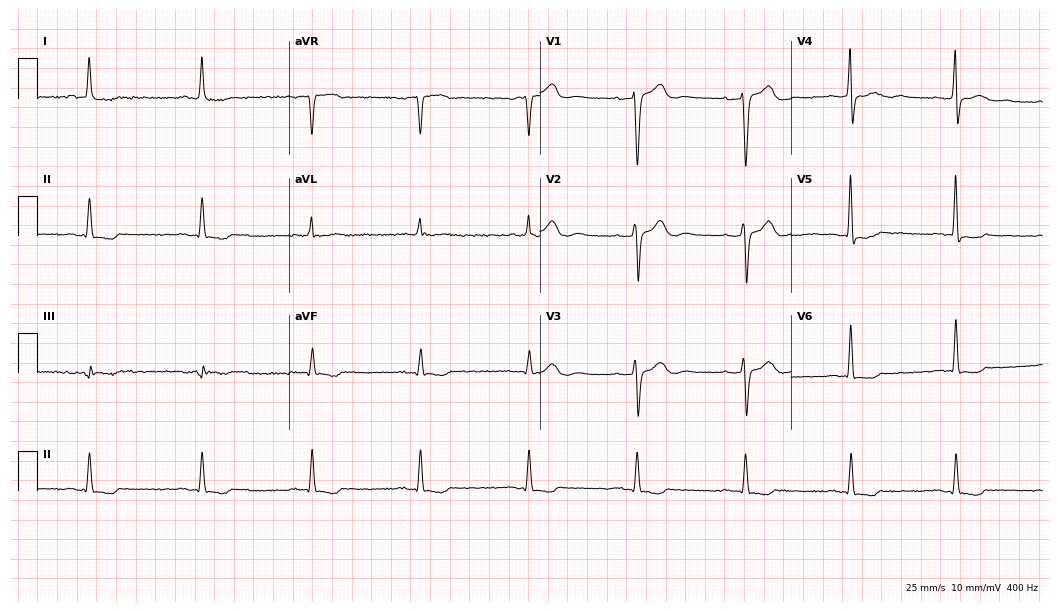
Resting 12-lead electrocardiogram (10.2-second recording at 400 Hz). Patient: a female, 82 years old. None of these six findings is recorded: first-degree AV block, right bundle branch block, left bundle branch block, sinus bradycardia, atrial fibrillation, sinus tachycardia. Only these six findings were labelled.